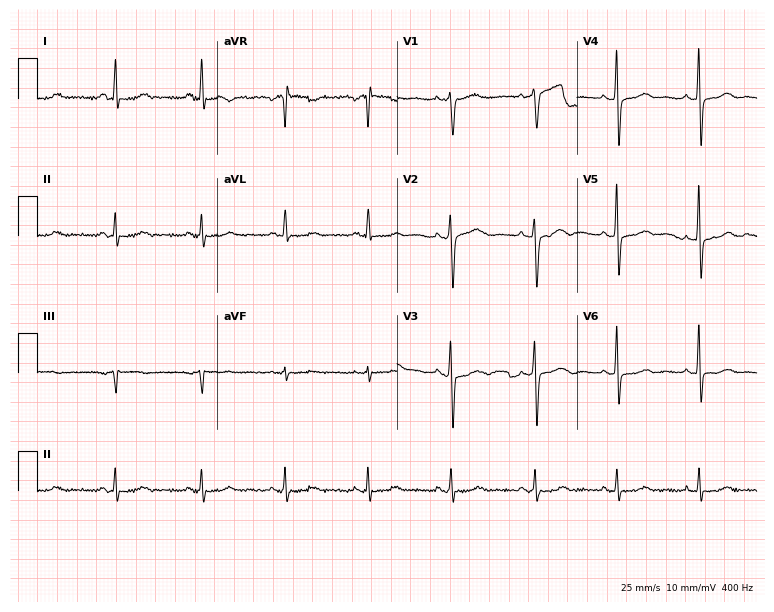
12-lead ECG from a female patient, 61 years old. Screened for six findings — first-degree AV block, right bundle branch block, left bundle branch block, sinus bradycardia, atrial fibrillation, sinus tachycardia — none is recorded. Other findings, if any, are not listed.